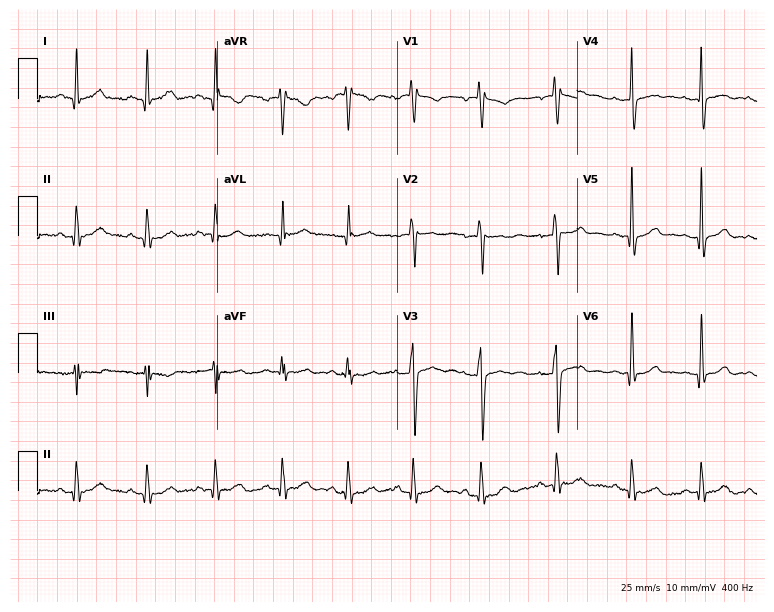
ECG (7.3-second recording at 400 Hz) — a 38-year-old man. Screened for six findings — first-degree AV block, right bundle branch block (RBBB), left bundle branch block (LBBB), sinus bradycardia, atrial fibrillation (AF), sinus tachycardia — none is recorded. Only these six findings were labelled.